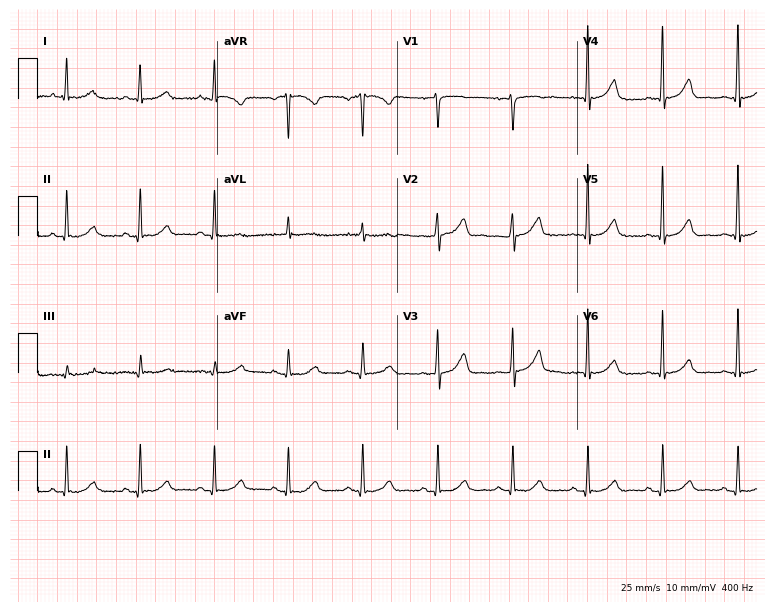
Resting 12-lead electrocardiogram (7.3-second recording at 400 Hz). Patient: a woman, 78 years old. Read as a normal ECG.